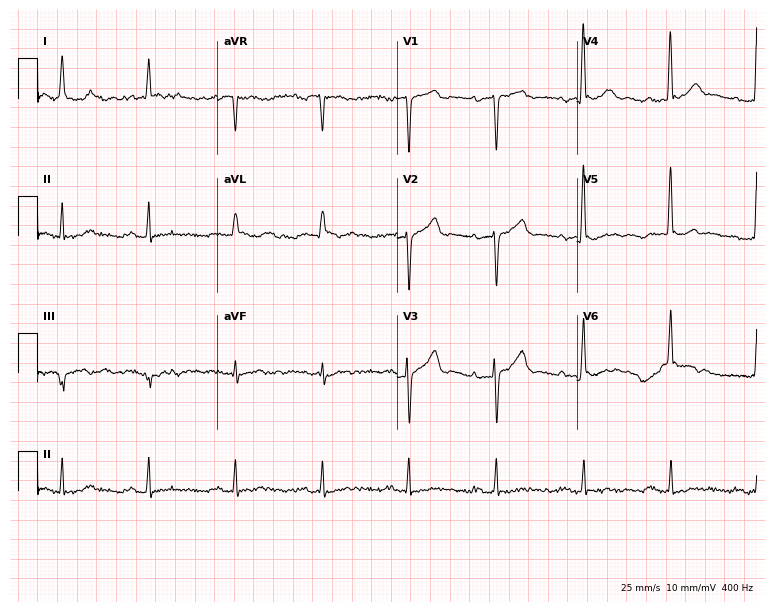
Electrocardiogram (7.3-second recording at 400 Hz), an 85-year-old man. Interpretation includes first-degree AV block.